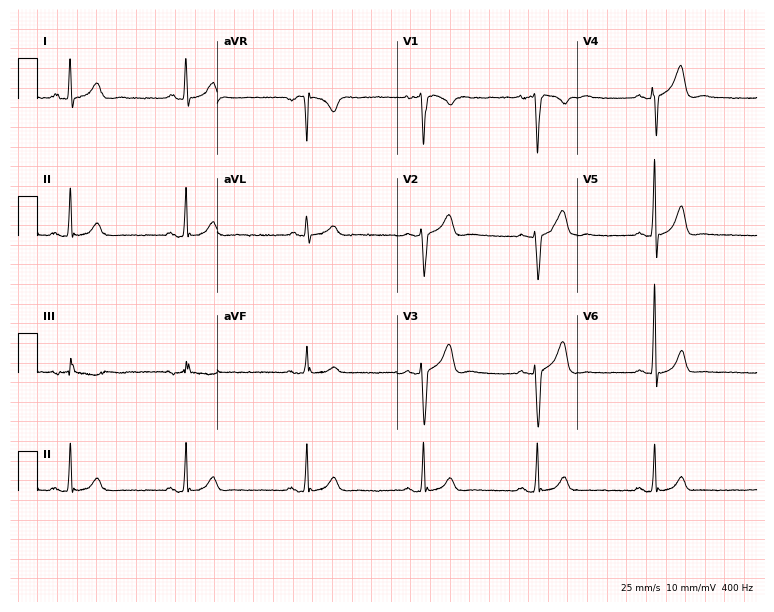
Resting 12-lead electrocardiogram (7.3-second recording at 400 Hz). Patient: a 44-year-old man. The tracing shows sinus bradycardia (a sinus rate of 50 beats per minute or less).